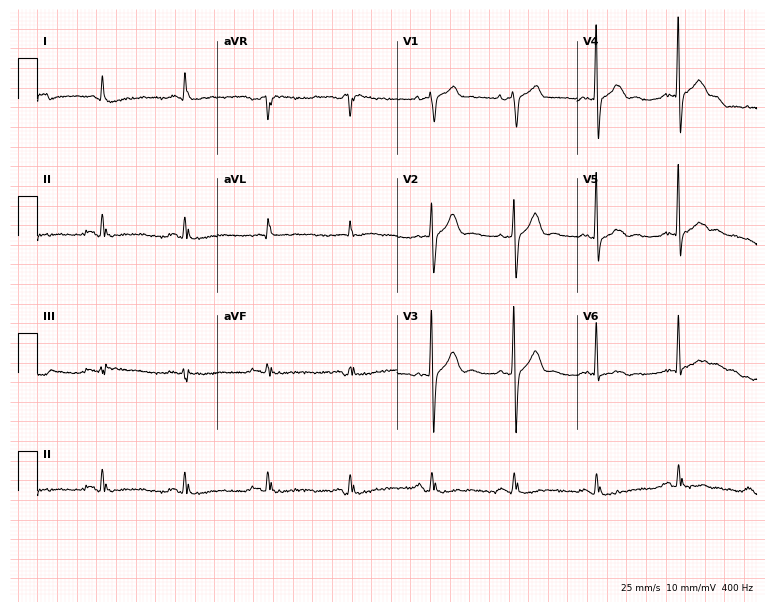
12-lead ECG from a man, 71 years old. Recorded interpretation: within normal limits.